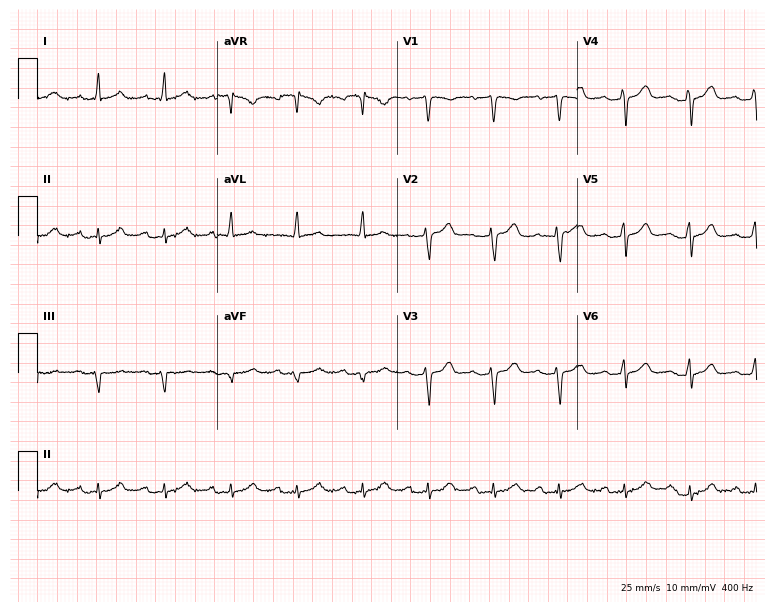
Electrocardiogram (7.3-second recording at 400 Hz), a 53-year-old woman. Interpretation includes first-degree AV block.